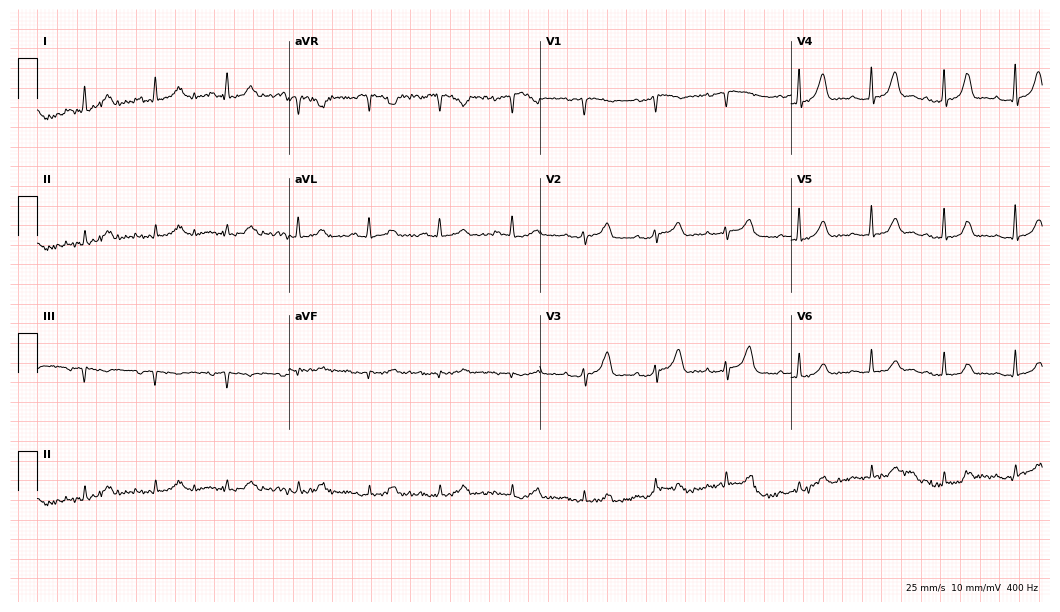
Resting 12-lead electrocardiogram. Patient: an 83-year-old woman. Read as a normal ECG.